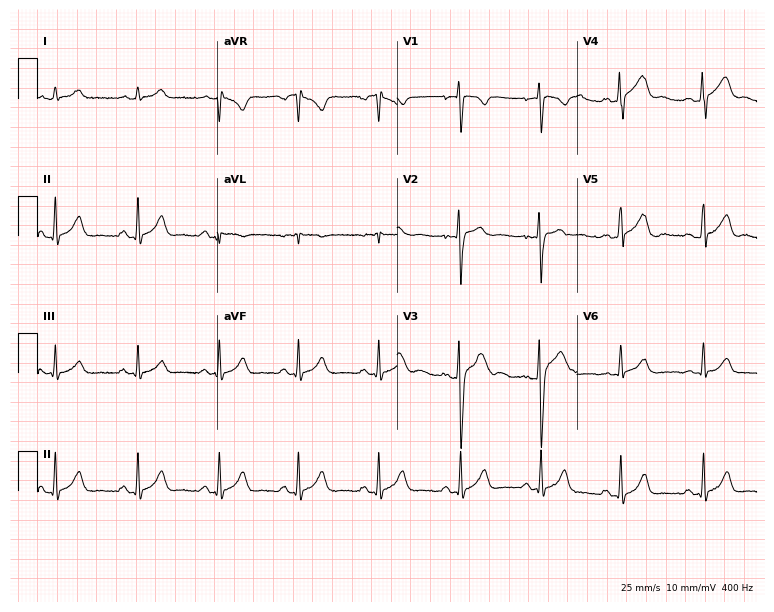
Electrocardiogram, a 30-year-old male. Overall reading on record: normal ECG.